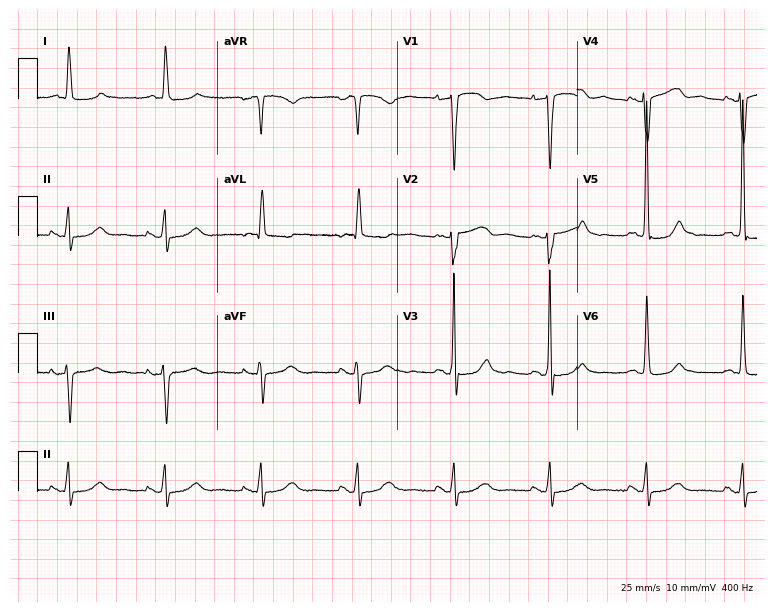
12-lead ECG from a female, 83 years old. Screened for six findings — first-degree AV block, right bundle branch block, left bundle branch block, sinus bradycardia, atrial fibrillation, sinus tachycardia — none is recorded.